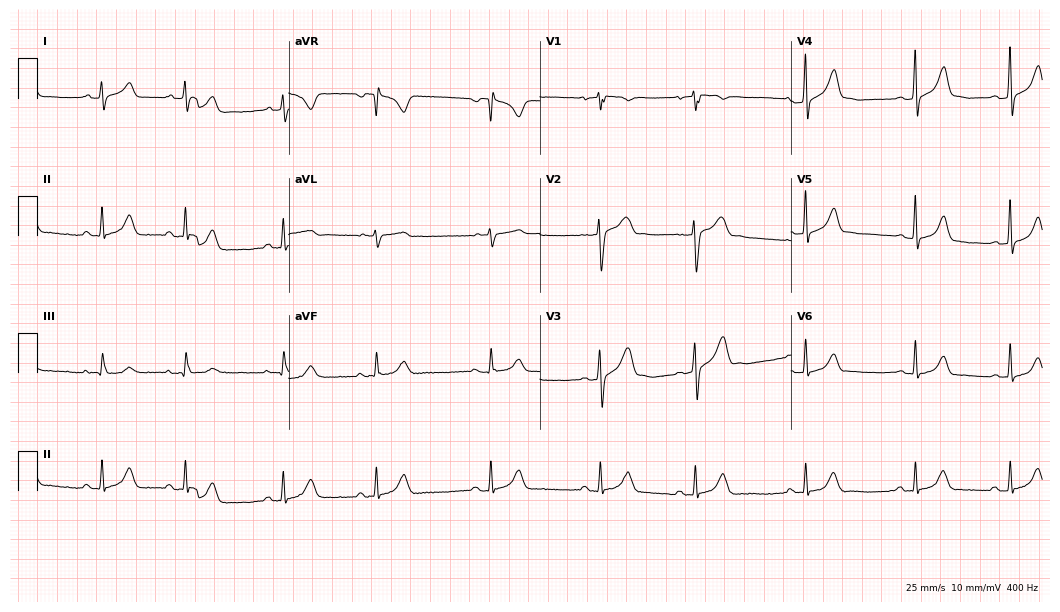
Resting 12-lead electrocardiogram. Patient: a 25-year-old male. Read as a normal ECG.